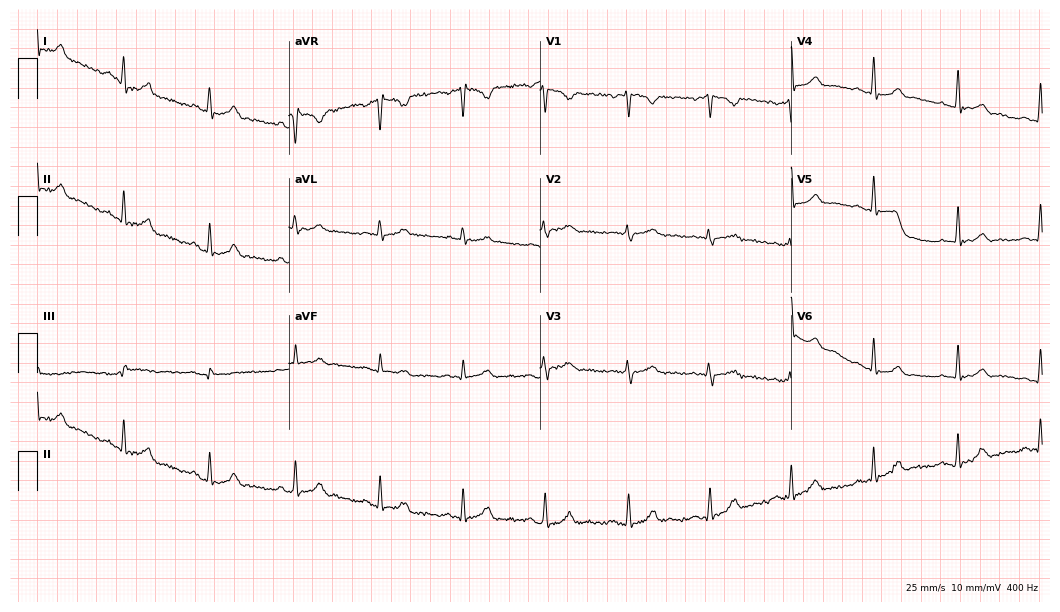
12-lead ECG from a woman, 40 years old (10.2-second recording at 400 Hz). No first-degree AV block, right bundle branch block, left bundle branch block, sinus bradycardia, atrial fibrillation or sinus tachycardia recorded for this tracing. Only these six findings were labelled.